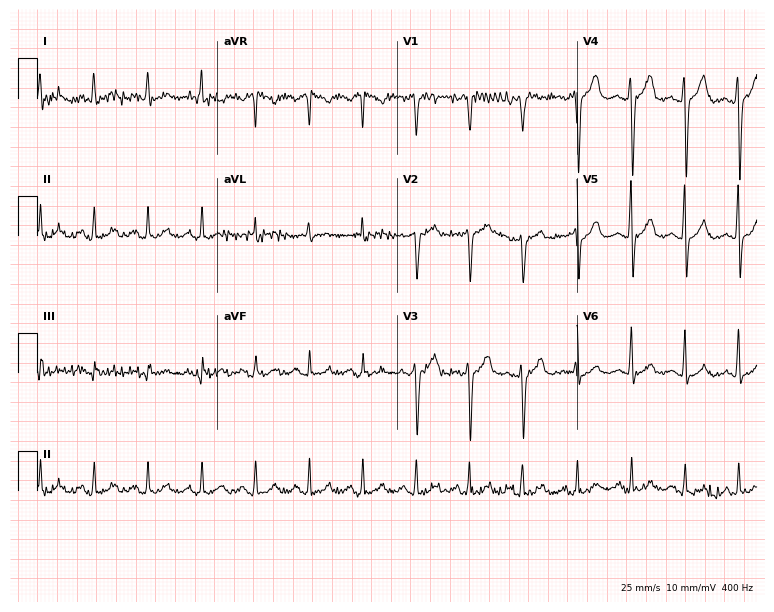
Electrocardiogram (7.3-second recording at 400 Hz), a 62-year-old male. Of the six screened findings (first-degree AV block, right bundle branch block, left bundle branch block, sinus bradycardia, atrial fibrillation, sinus tachycardia), none is recorded.